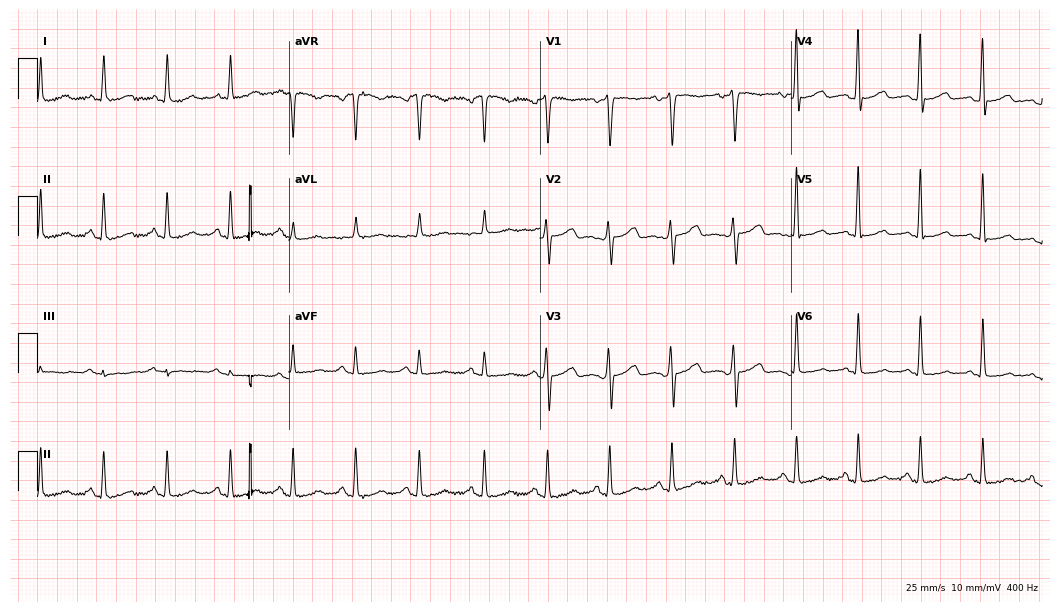
12-lead ECG from a female, 44 years old (10.2-second recording at 400 Hz). No first-degree AV block, right bundle branch block (RBBB), left bundle branch block (LBBB), sinus bradycardia, atrial fibrillation (AF) or sinus tachycardia recorded for this tracing. Only these six findings were labelled.